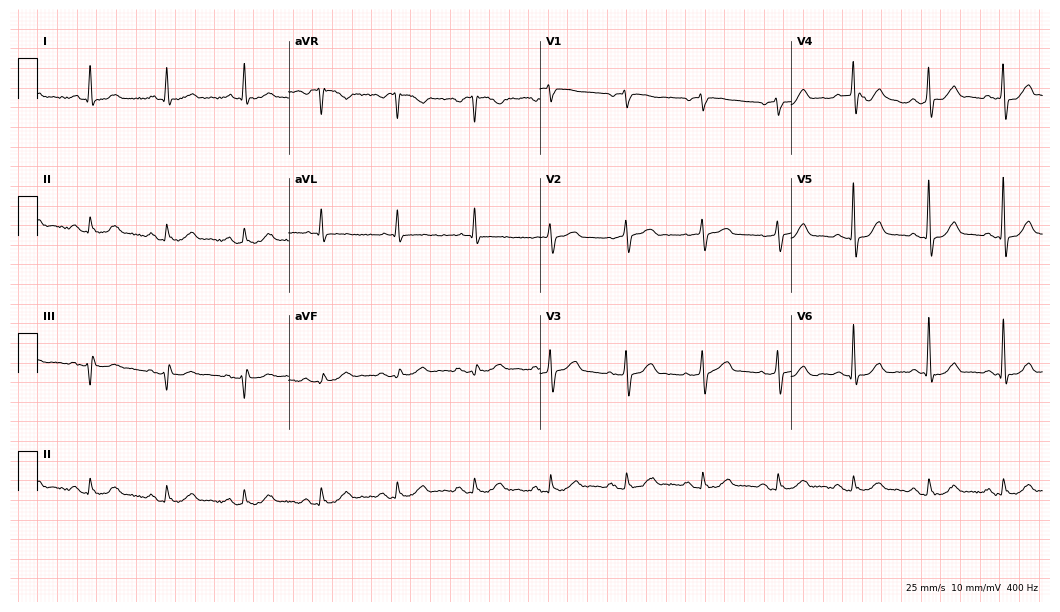
Resting 12-lead electrocardiogram. Patient: a male, 72 years old. Read as a normal ECG.